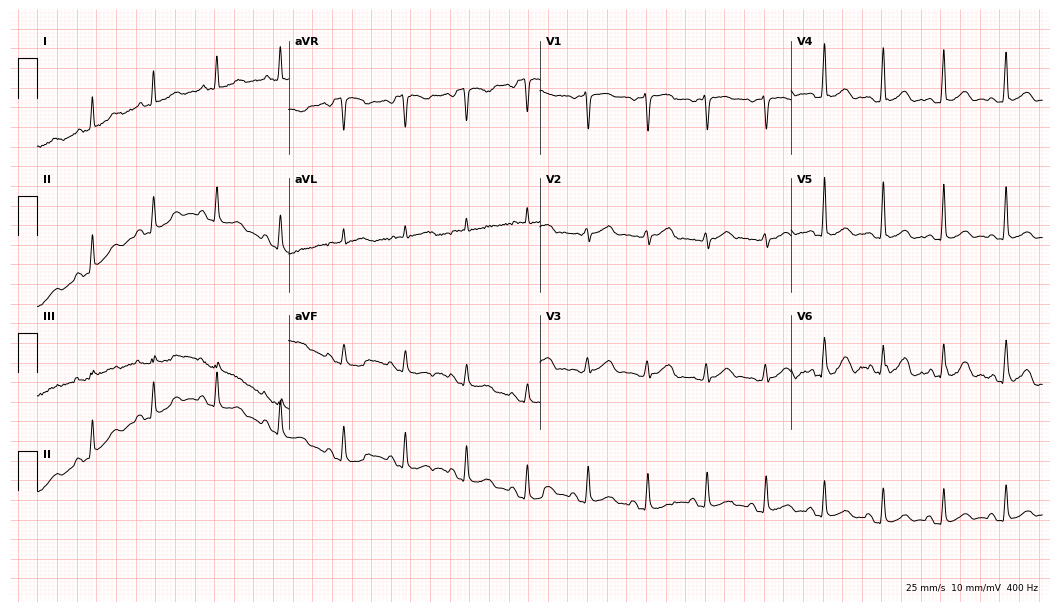
Electrocardiogram, a 57-year-old woman. Overall reading on record: normal ECG.